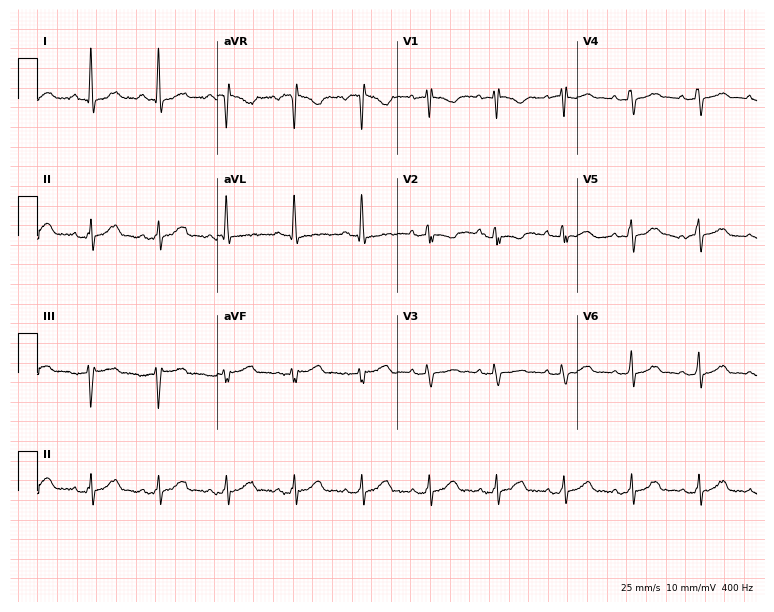
ECG — a 64-year-old female. Screened for six findings — first-degree AV block, right bundle branch block (RBBB), left bundle branch block (LBBB), sinus bradycardia, atrial fibrillation (AF), sinus tachycardia — none is recorded. Findings outside these six are not listed.